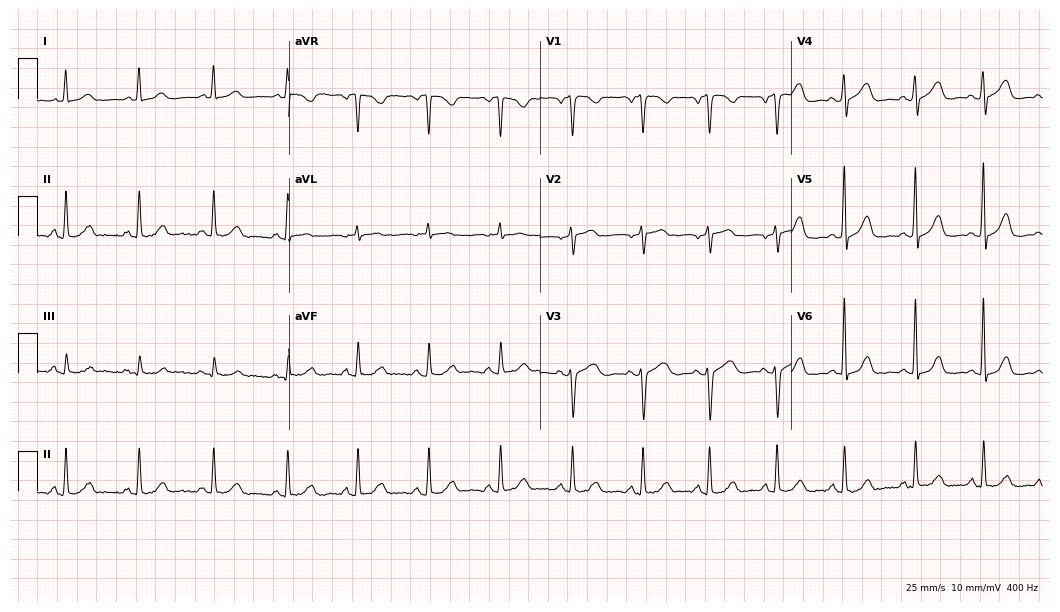
12-lead ECG from a 49-year-old woman. Labelled as a normal ECG.